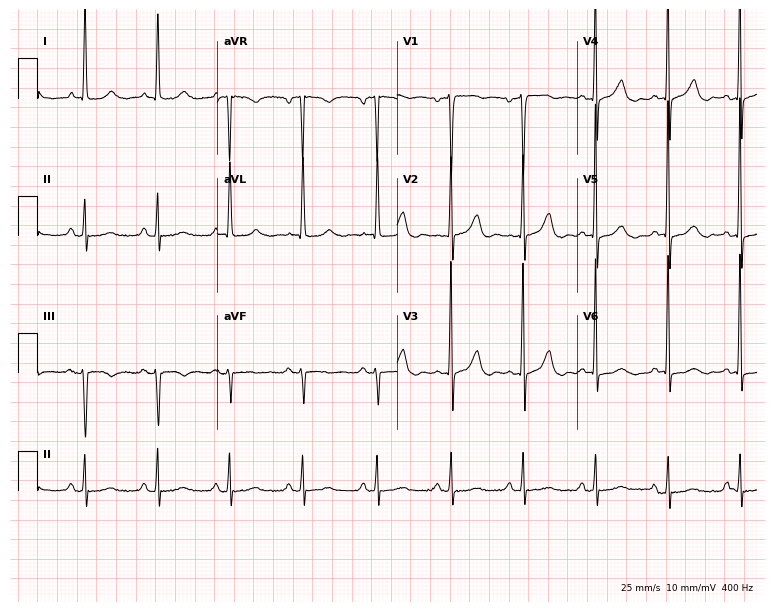
Electrocardiogram, a 70-year-old male. Of the six screened findings (first-degree AV block, right bundle branch block, left bundle branch block, sinus bradycardia, atrial fibrillation, sinus tachycardia), none is recorded.